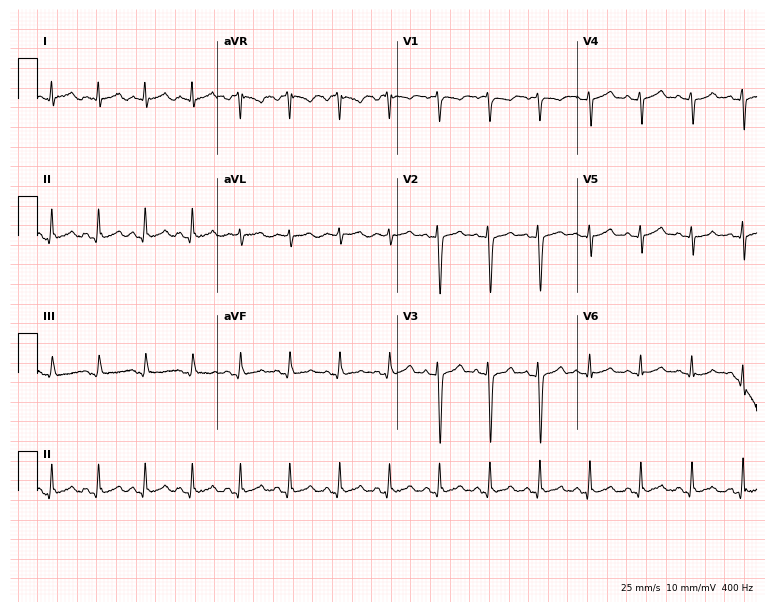
Electrocardiogram, a 23-year-old woman. Interpretation includes sinus tachycardia (a sinus rate of 100 beats per minute or more).